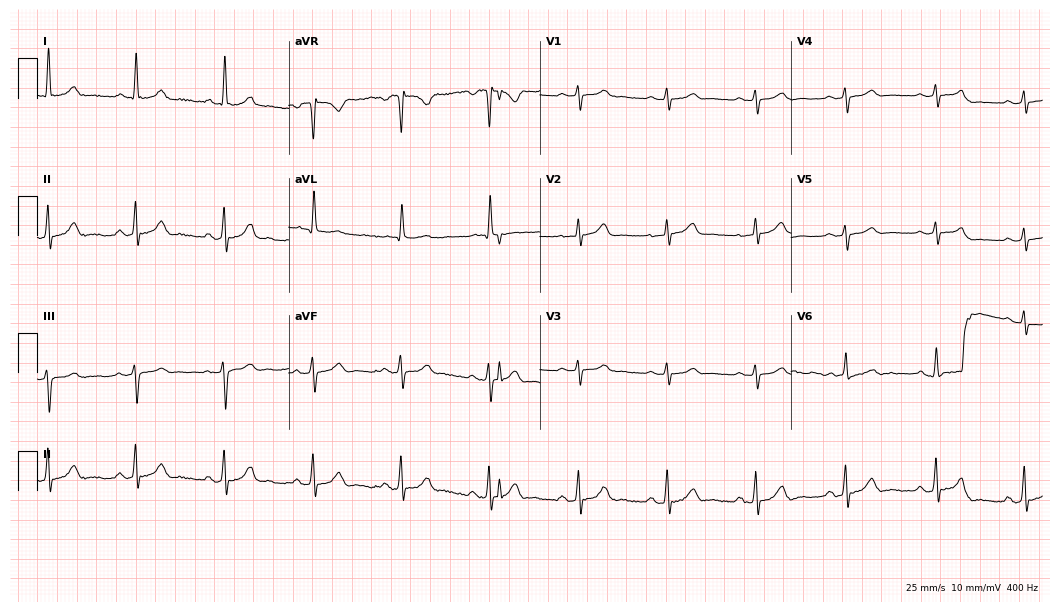
12-lead ECG (10.2-second recording at 400 Hz) from a man, 73 years old. Labelled as a normal ECG.